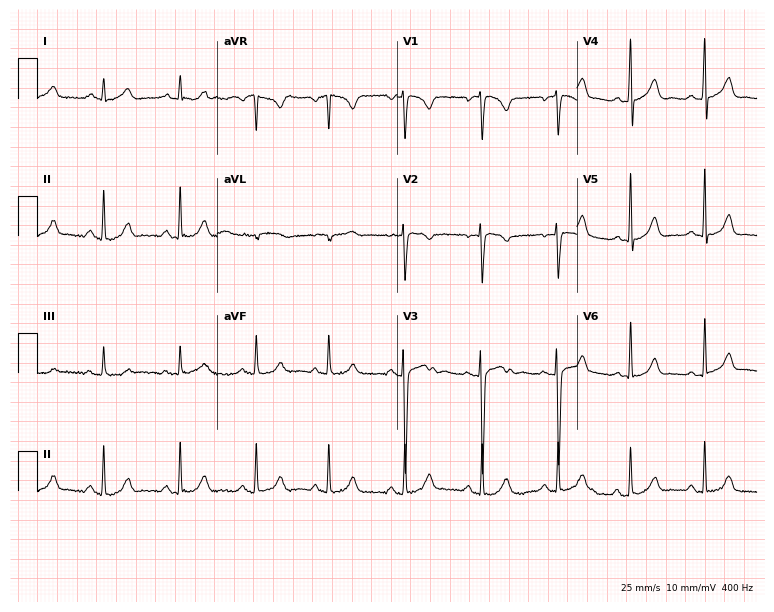
Standard 12-lead ECG recorded from a 17-year-old female patient (7.3-second recording at 400 Hz). Read as a normal ECG.